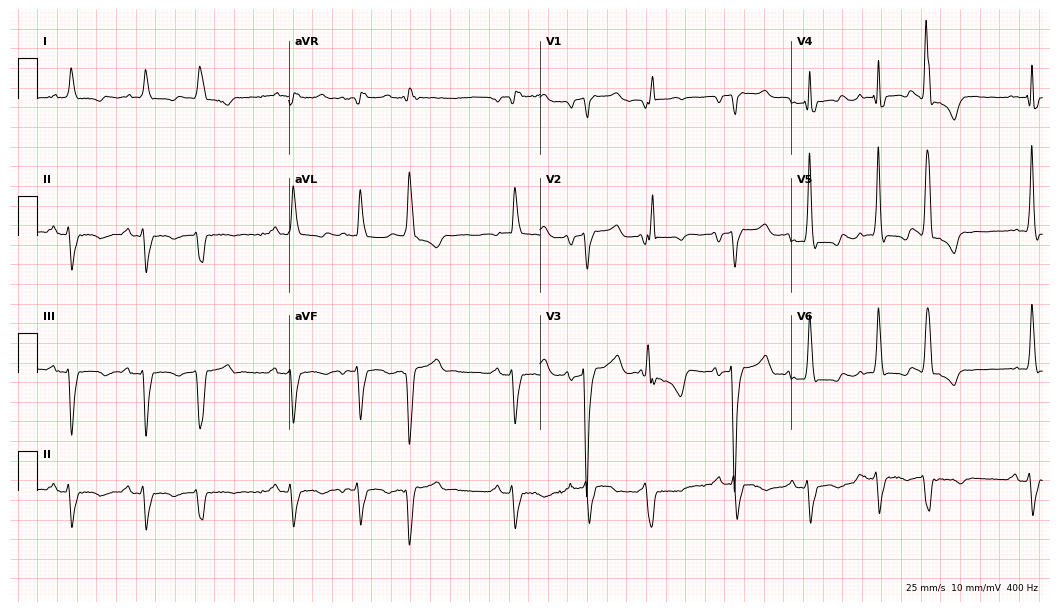
Electrocardiogram, a male patient, 54 years old. Of the six screened findings (first-degree AV block, right bundle branch block, left bundle branch block, sinus bradycardia, atrial fibrillation, sinus tachycardia), none is recorded.